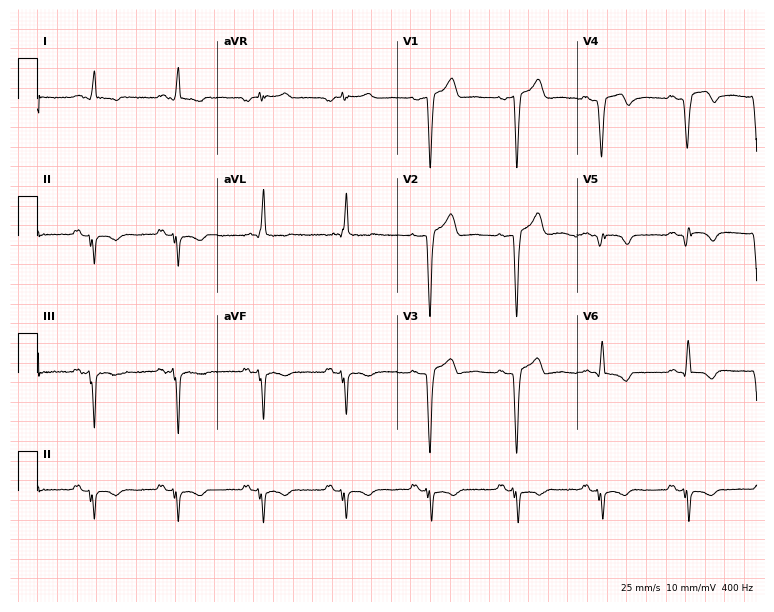
12-lead ECG (7.3-second recording at 400 Hz) from a 70-year-old male. Screened for six findings — first-degree AV block, right bundle branch block, left bundle branch block, sinus bradycardia, atrial fibrillation, sinus tachycardia — none is recorded. Only these six findings were labelled.